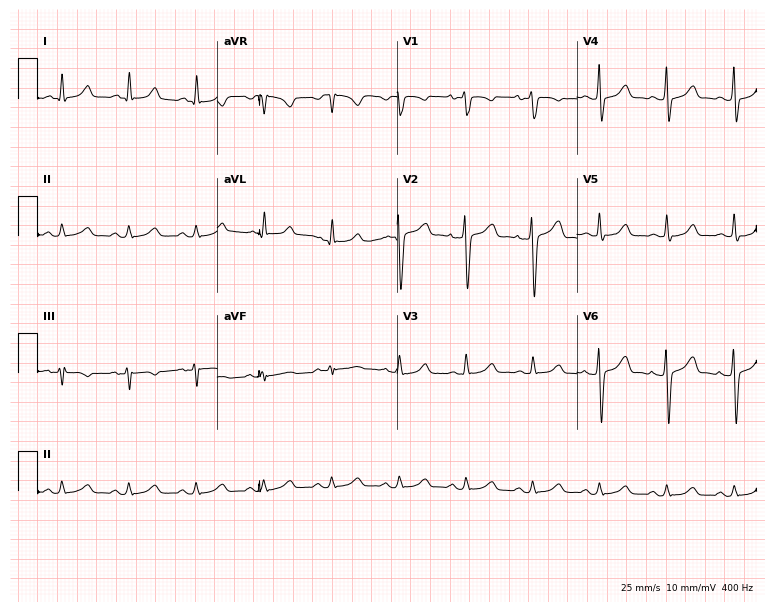
Electrocardiogram, a man, 42 years old. Of the six screened findings (first-degree AV block, right bundle branch block, left bundle branch block, sinus bradycardia, atrial fibrillation, sinus tachycardia), none is recorded.